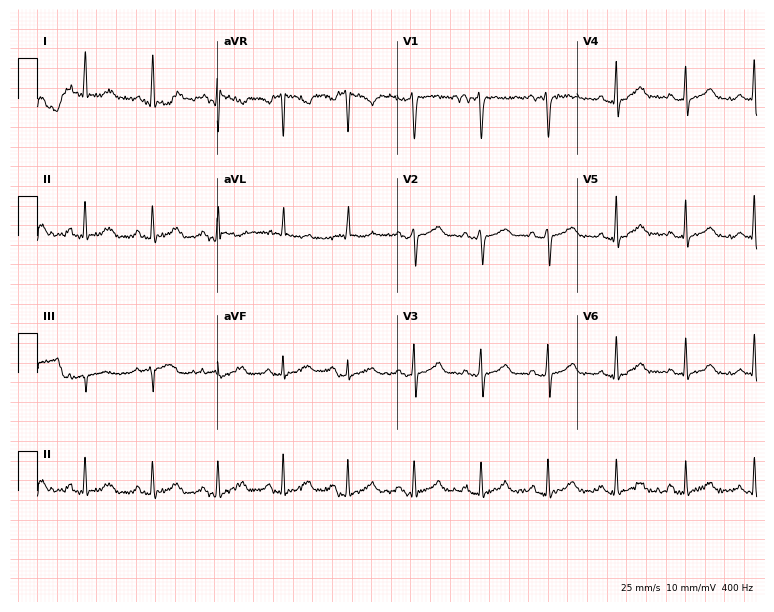
Resting 12-lead electrocardiogram. Patient: a female, 46 years old. None of these six findings is recorded: first-degree AV block, right bundle branch block, left bundle branch block, sinus bradycardia, atrial fibrillation, sinus tachycardia. Findings outside these six are not listed.